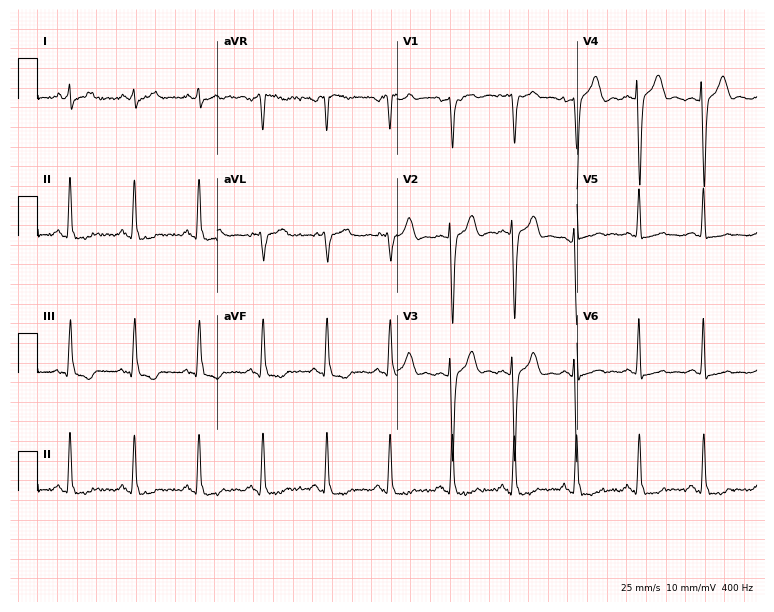
ECG — a man, 39 years old. Screened for six findings — first-degree AV block, right bundle branch block, left bundle branch block, sinus bradycardia, atrial fibrillation, sinus tachycardia — none is recorded.